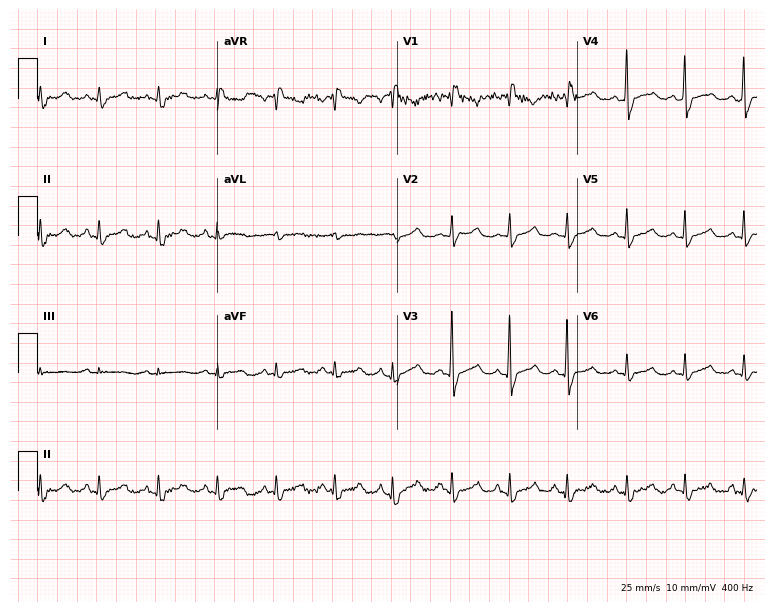
Resting 12-lead electrocardiogram. Patient: a woman, 60 years old. None of these six findings is recorded: first-degree AV block, right bundle branch block, left bundle branch block, sinus bradycardia, atrial fibrillation, sinus tachycardia.